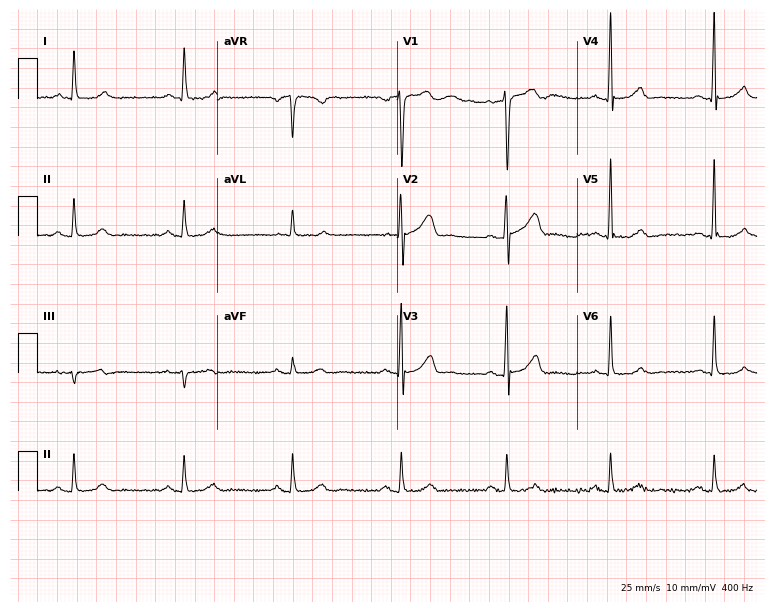
12-lead ECG from a 68-year-old male patient (7.3-second recording at 400 Hz). Recorded interpretation: within normal limits.